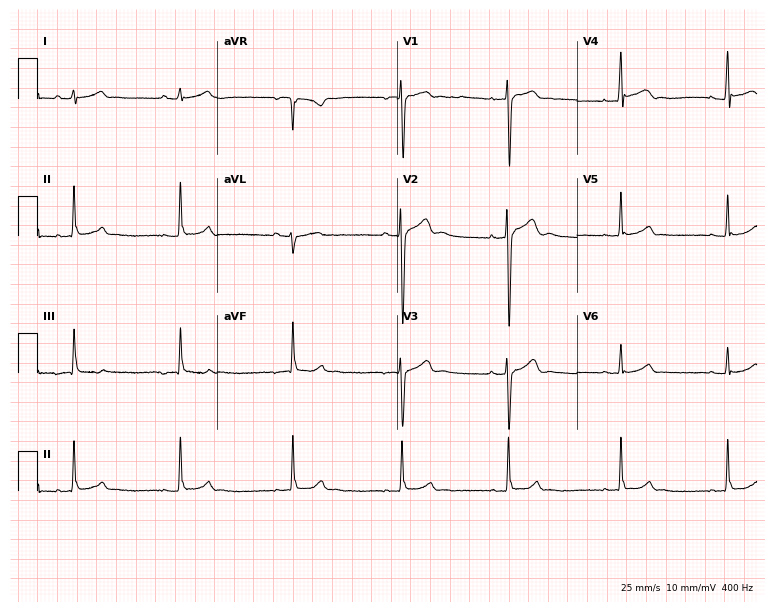
12-lead ECG (7.3-second recording at 400 Hz) from a male patient, 19 years old. Labelled as a normal ECG.